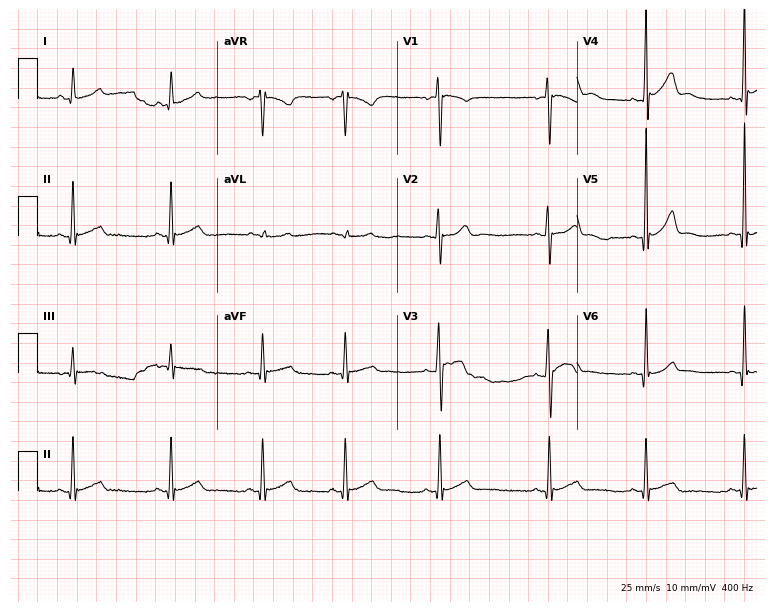
Resting 12-lead electrocardiogram (7.3-second recording at 400 Hz). Patient: a man, 18 years old. Read as a normal ECG.